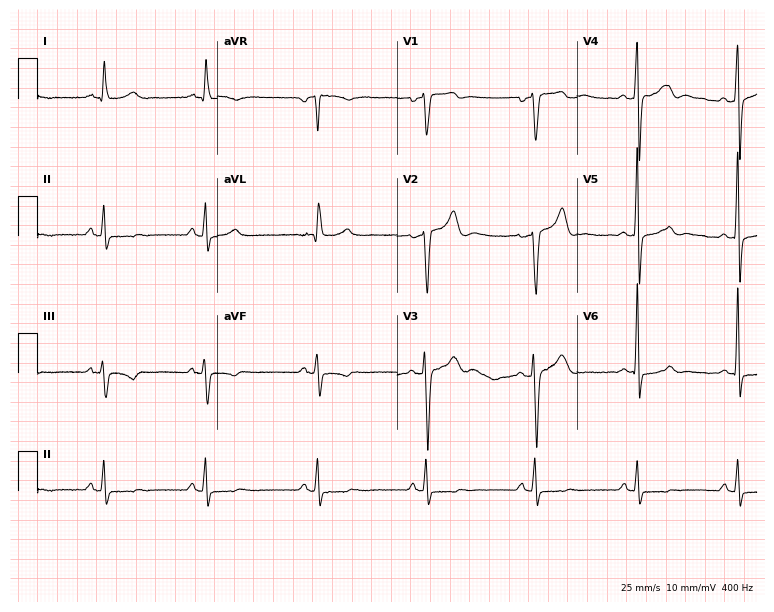
12-lead ECG from a 54-year-old female patient. No first-degree AV block, right bundle branch block (RBBB), left bundle branch block (LBBB), sinus bradycardia, atrial fibrillation (AF) or sinus tachycardia recorded for this tracing. Findings outside these six are not listed.